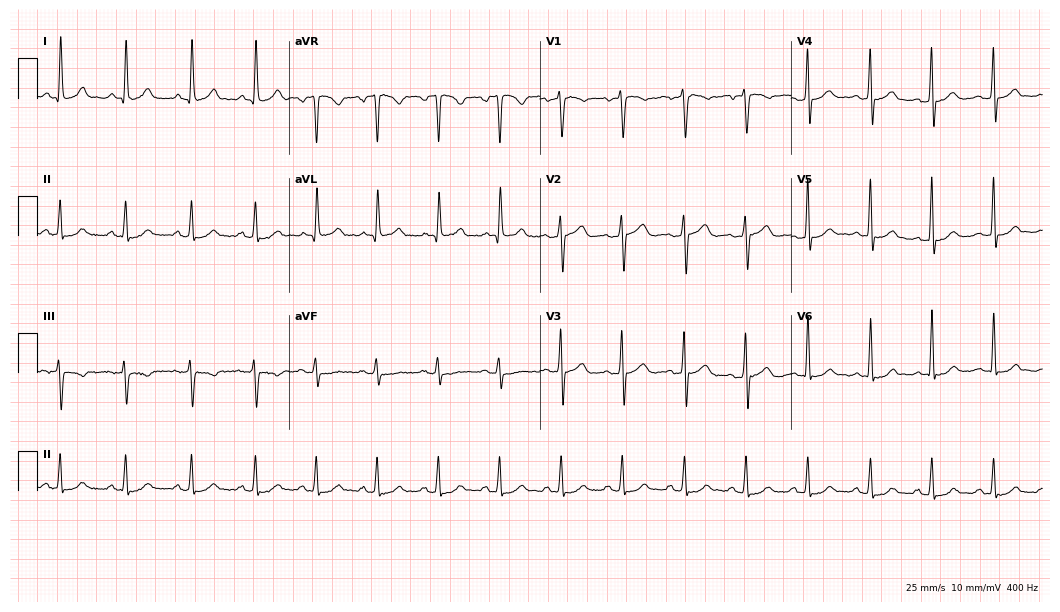
Electrocardiogram (10.2-second recording at 400 Hz), a female patient, 36 years old. Overall reading on record: normal ECG.